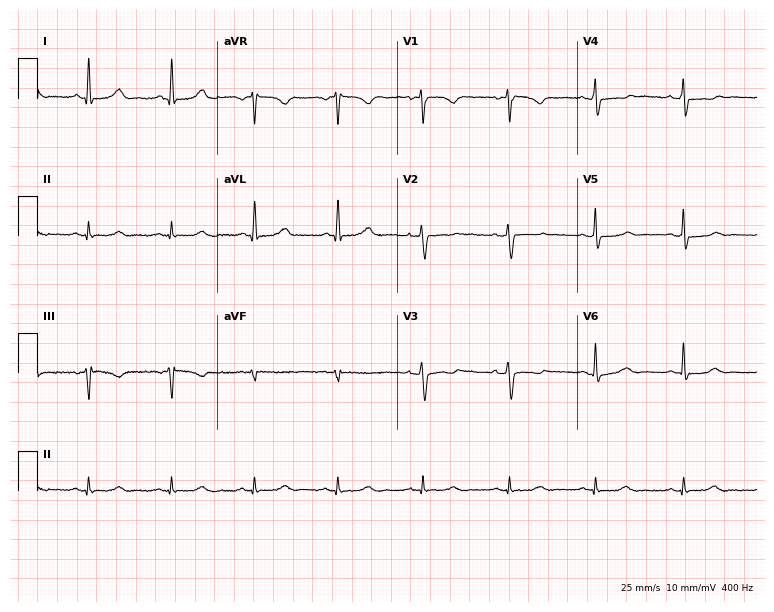
12-lead ECG from a female patient, 49 years old. Labelled as a normal ECG.